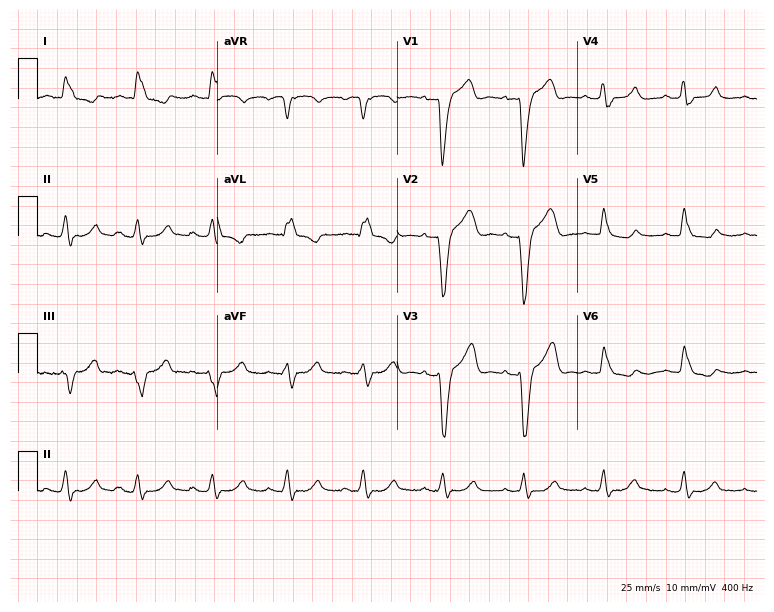
12-lead ECG from a 52-year-old female patient. Shows left bundle branch block.